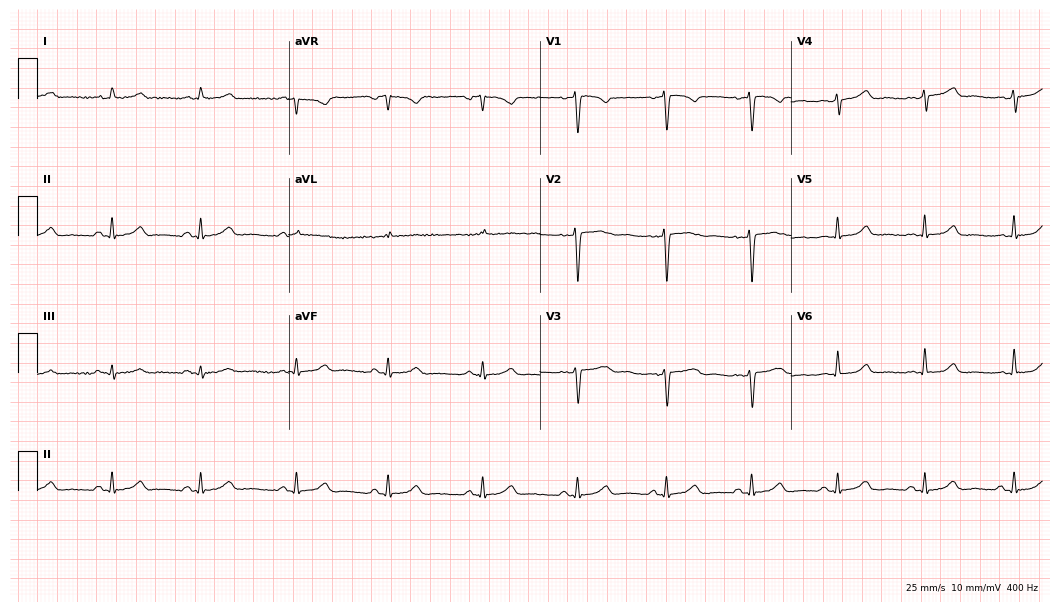
12-lead ECG (10.2-second recording at 400 Hz) from a female patient, 55 years old. Screened for six findings — first-degree AV block, right bundle branch block (RBBB), left bundle branch block (LBBB), sinus bradycardia, atrial fibrillation (AF), sinus tachycardia — none is recorded.